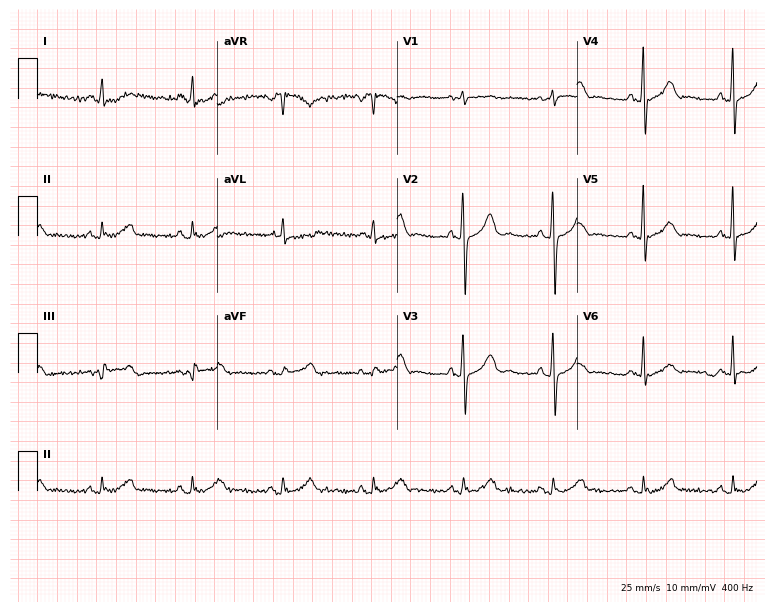
Resting 12-lead electrocardiogram (7.3-second recording at 400 Hz). Patient: a 74-year-old male. Read as a normal ECG.